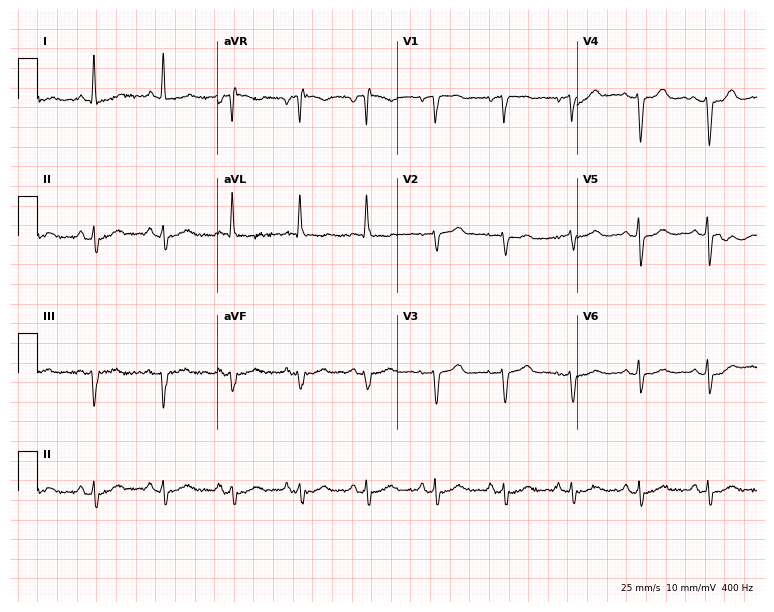
Standard 12-lead ECG recorded from a female, 79 years old. None of these six findings is recorded: first-degree AV block, right bundle branch block, left bundle branch block, sinus bradycardia, atrial fibrillation, sinus tachycardia.